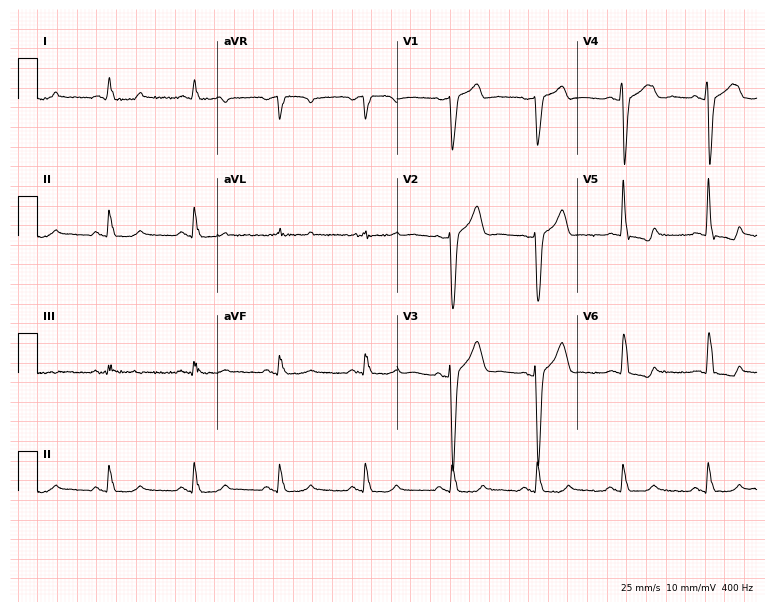
Resting 12-lead electrocardiogram (7.3-second recording at 400 Hz). Patient: a 54-year-old male. Read as a normal ECG.